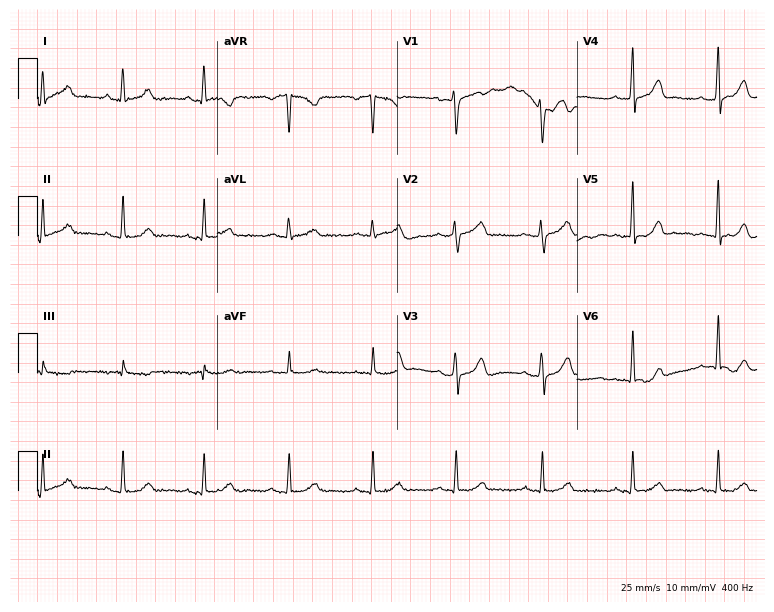
12-lead ECG (7.3-second recording at 400 Hz) from a female patient, 40 years old. Labelled as a normal ECG.